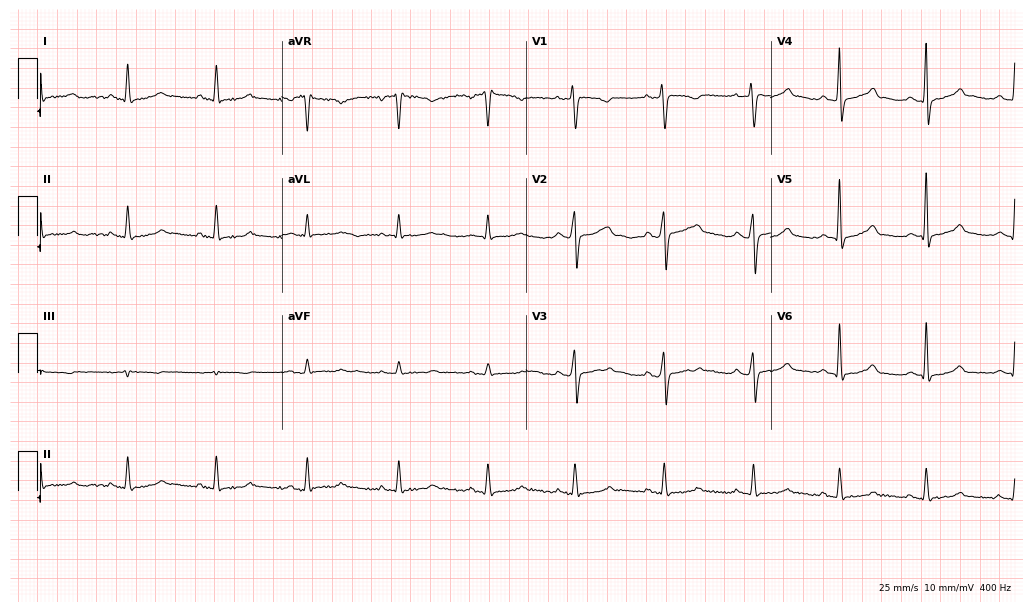
Standard 12-lead ECG recorded from a 38-year-old woman. None of these six findings is recorded: first-degree AV block, right bundle branch block, left bundle branch block, sinus bradycardia, atrial fibrillation, sinus tachycardia.